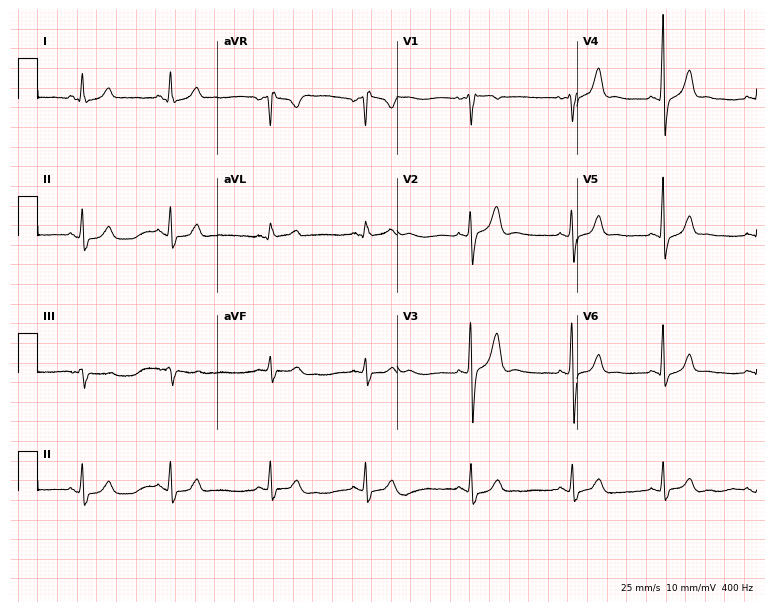
12-lead ECG from a 28-year-old female. No first-degree AV block, right bundle branch block (RBBB), left bundle branch block (LBBB), sinus bradycardia, atrial fibrillation (AF) or sinus tachycardia recorded for this tracing. Only these six findings were labelled.